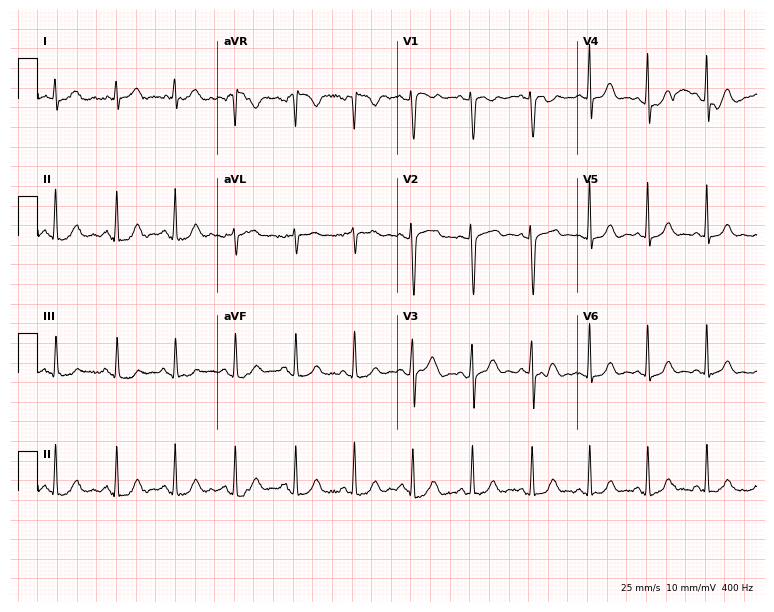
ECG (7.3-second recording at 400 Hz) — a woman, 34 years old. Labelled as a normal ECG.